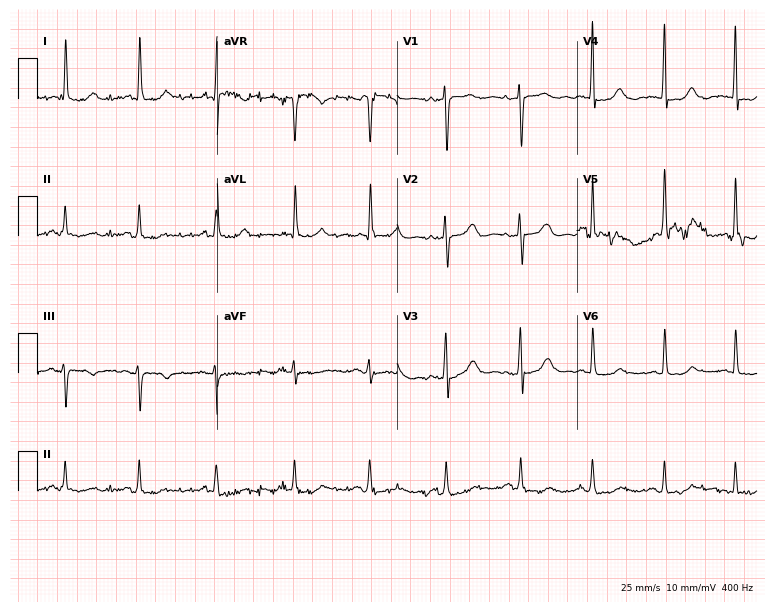
12-lead ECG (7.3-second recording at 400 Hz) from a female, 83 years old. Screened for six findings — first-degree AV block, right bundle branch block, left bundle branch block, sinus bradycardia, atrial fibrillation, sinus tachycardia — none is recorded.